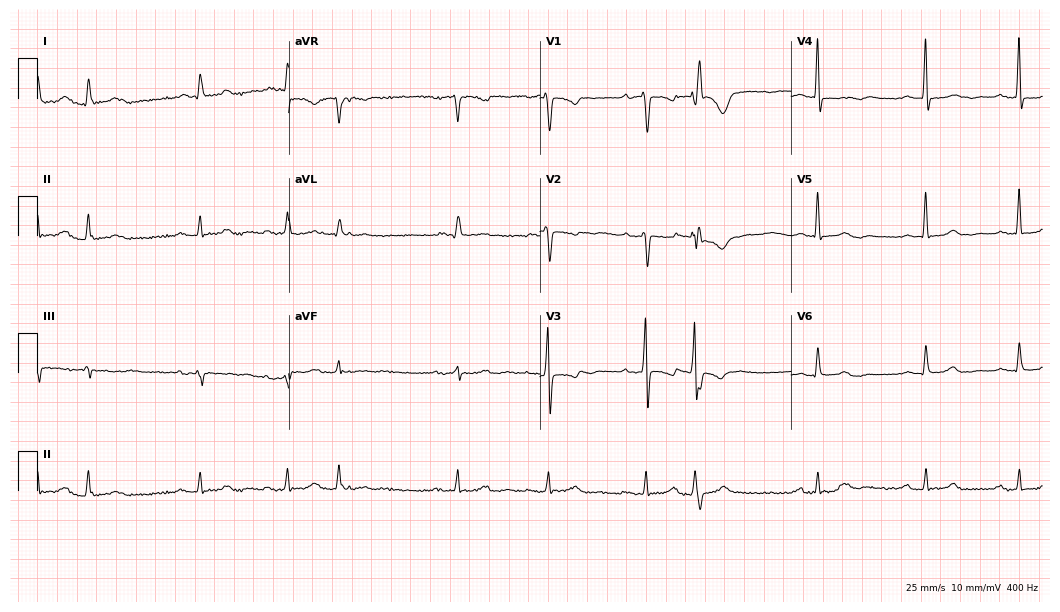
12-lead ECG from a woman, 76 years old. No first-degree AV block, right bundle branch block, left bundle branch block, sinus bradycardia, atrial fibrillation or sinus tachycardia recorded for this tracing.